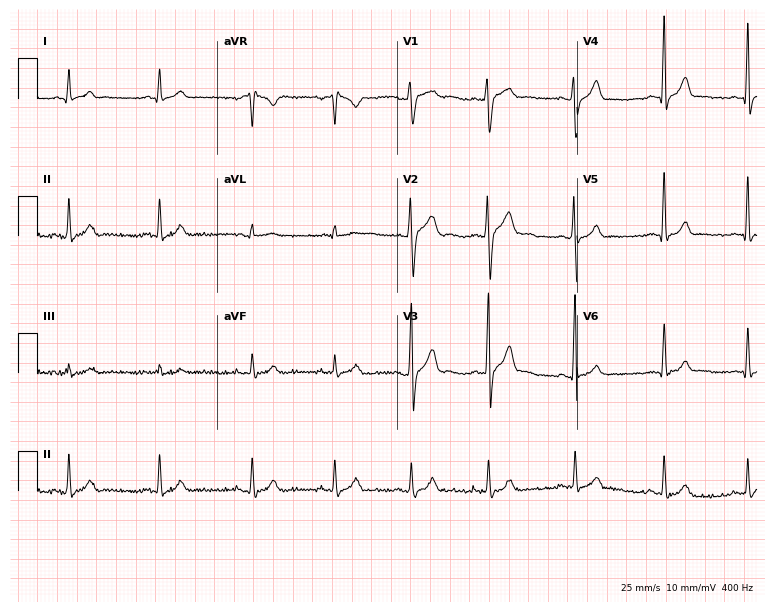
12-lead ECG from a man, 19 years old. Recorded interpretation: within normal limits.